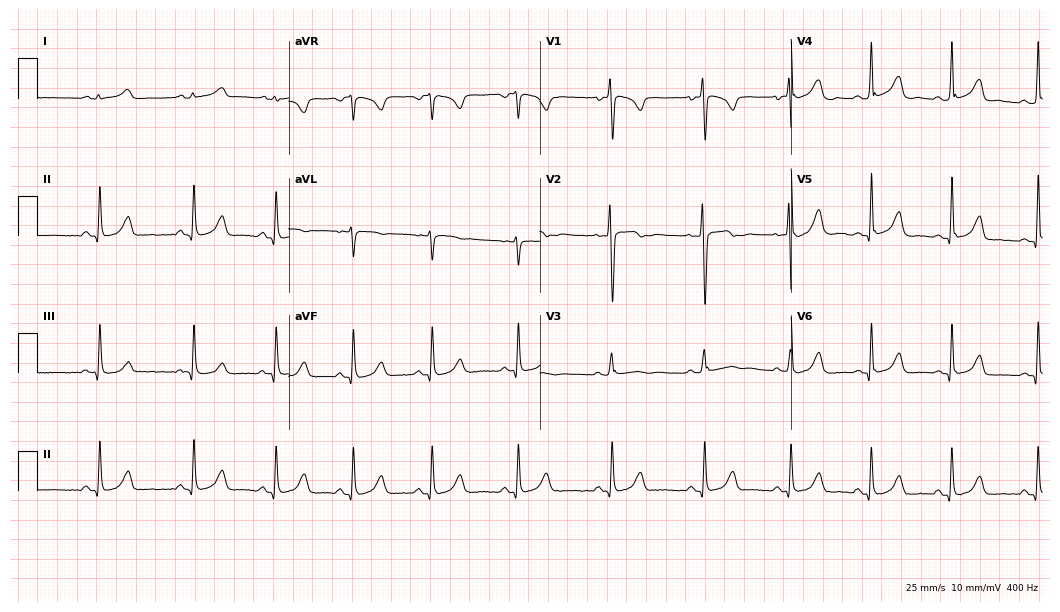
Resting 12-lead electrocardiogram. Patient: a 17-year-old woman. Read as a normal ECG.